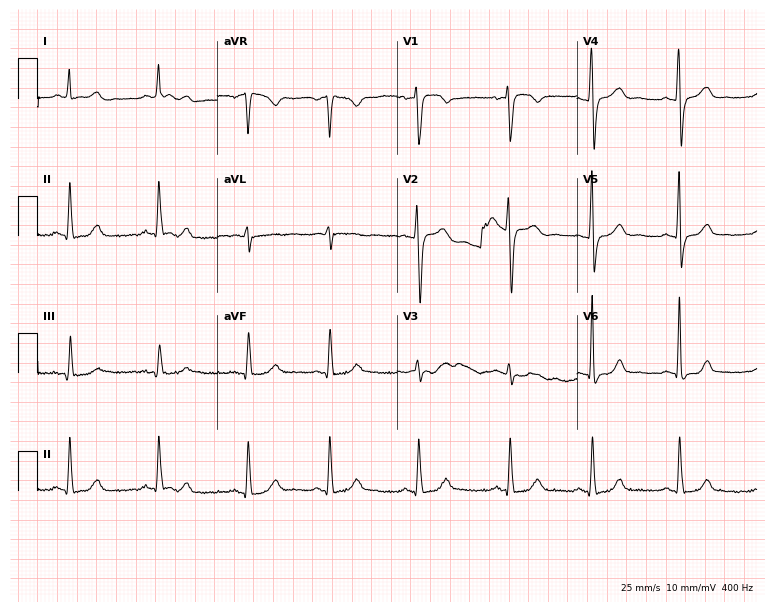
Standard 12-lead ECG recorded from a 25-year-old female. None of these six findings is recorded: first-degree AV block, right bundle branch block, left bundle branch block, sinus bradycardia, atrial fibrillation, sinus tachycardia. Other findings, if any, are not listed.